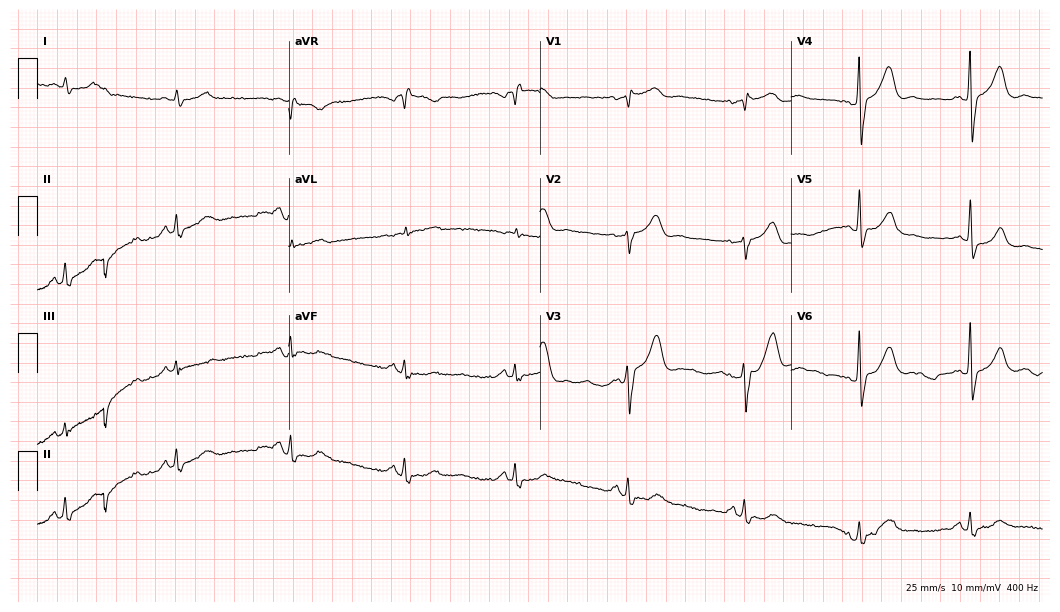
12-lead ECG from a 63-year-old male (10.2-second recording at 400 Hz). No first-degree AV block, right bundle branch block, left bundle branch block, sinus bradycardia, atrial fibrillation or sinus tachycardia recorded for this tracing. Only these six findings were labelled.